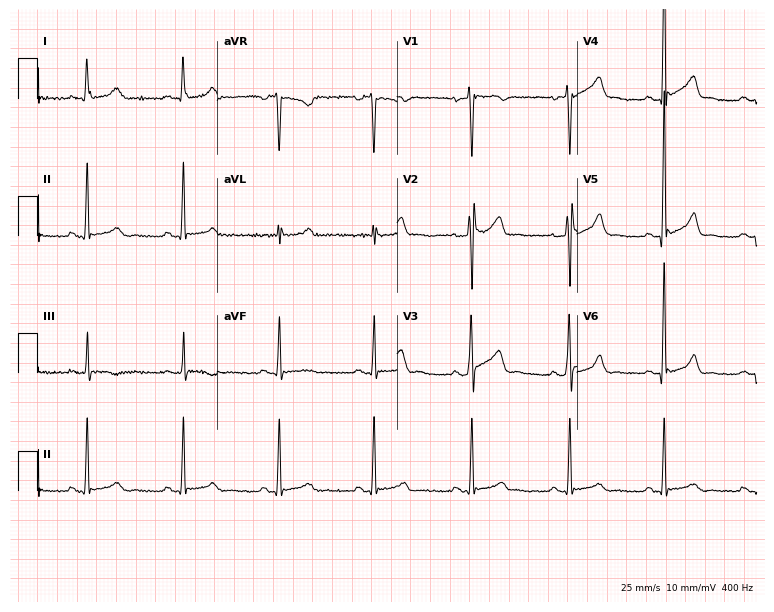
12-lead ECG from a male patient, 29 years old (7.3-second recording at 400 Hz). Recorded interpretation: within normal limits.